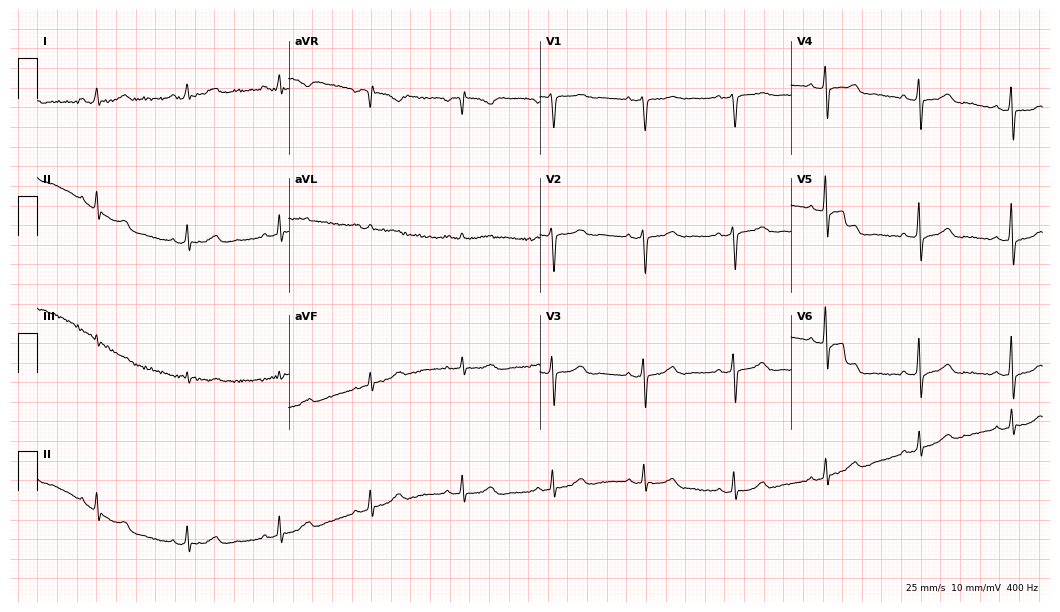
Resting 12-lead electrocardiogram (10.2-second recording at 400 Hz). Patient: a female, 68 years old. Read as a normal ECG.